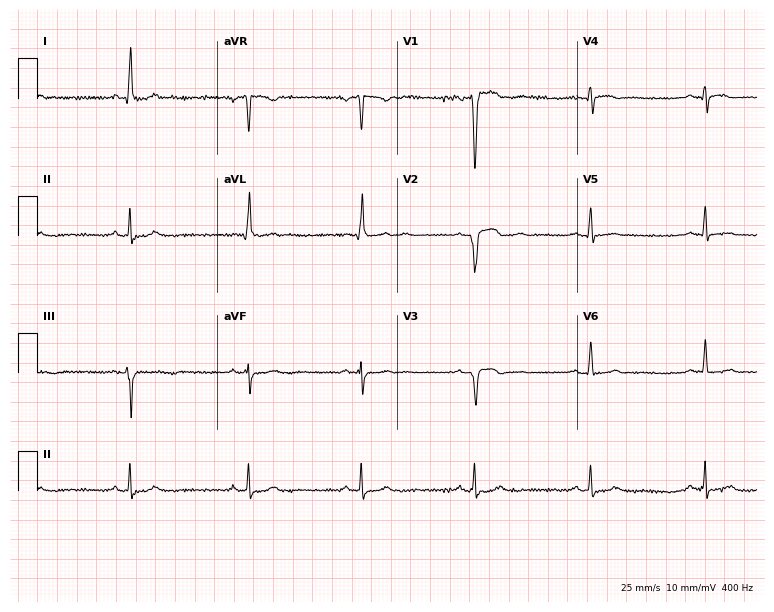
12-lead ECG from a 51-year-old male patient. No first-degree AV block, right bundle branch block (RBBB), left bundle branch block (LBBB), sinus bradycardia, atrial fibrillation (AF) or sinus tachycardia recorded for this tracing. Findings outside these six are not listed.